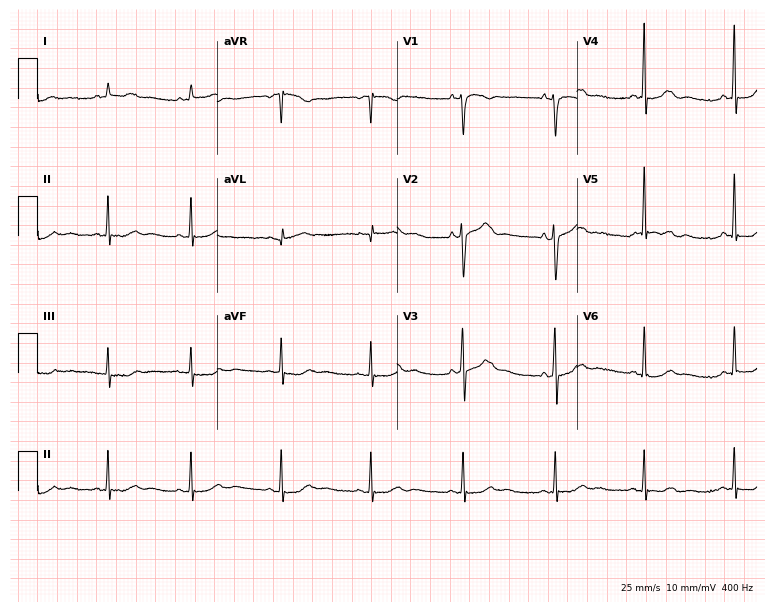
12-lead ECG from a female, 62 years old (7.3-second recording at 400 Hz). No first-degree AV block, right bundle branch block, left bundle branch block, sinus bradycardia, atrial fibrillation or sinus tachycardia recorded for this tracing.